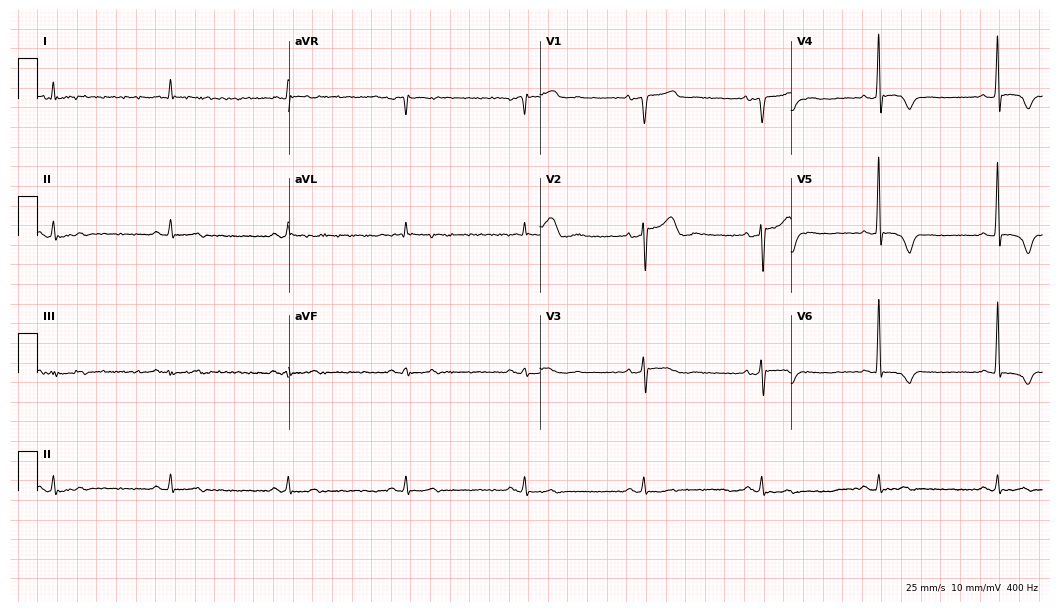
ECG — a 74-year-old male. Screened for six findings — first-degree AV block, right bundle branch block (RBBB), left bundle branch block (LBBB), sinus bradycardia, atrial fibrillation (AF), sinus tachycardia — none is recorded.